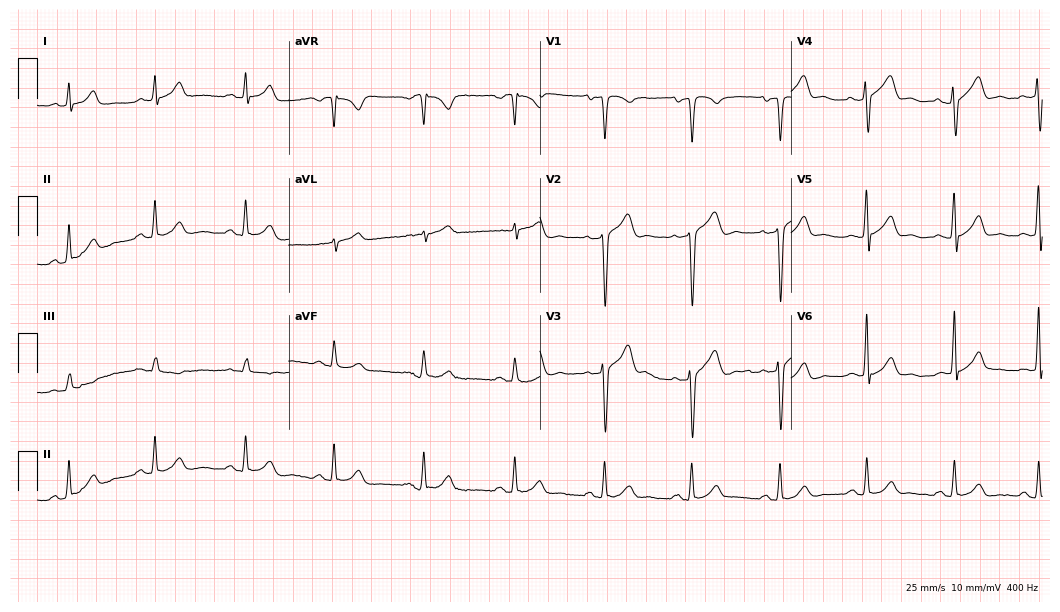
Electrocardiogram, a 39-year-old male patient. Overall reading on record: normal ECG.